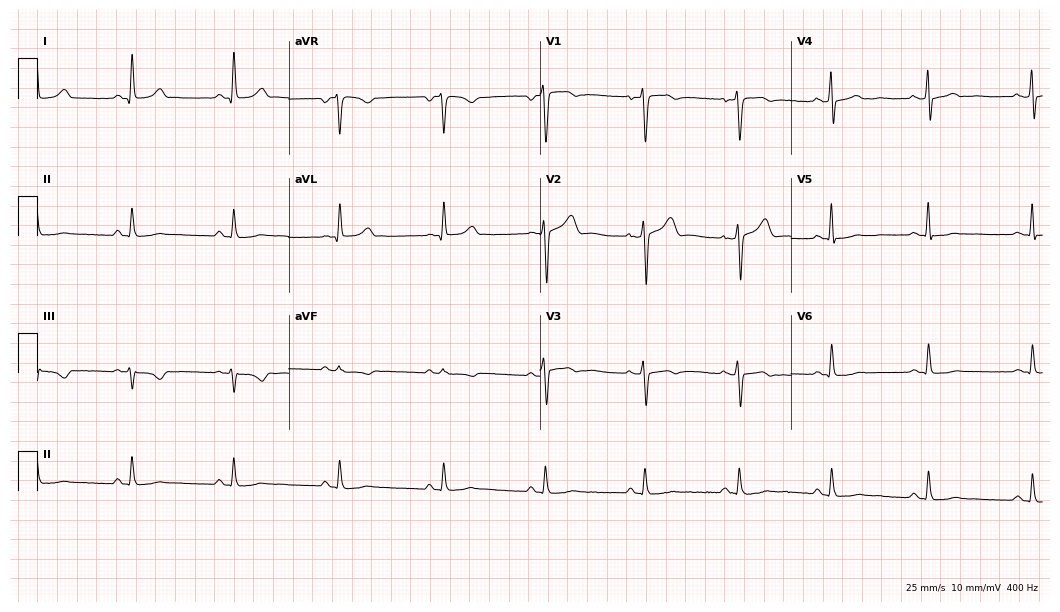
Electrocardiogram (10.2-second recording at 400 Hz), a 36-year-old male patient. Of the six screened findings (first-degree AV block, right bundle branch block (RBBB), left bundle branch block (LBBB), sinus bradycardia, atrial fibrillation (AF), sinus tachycardia), none is recorded.